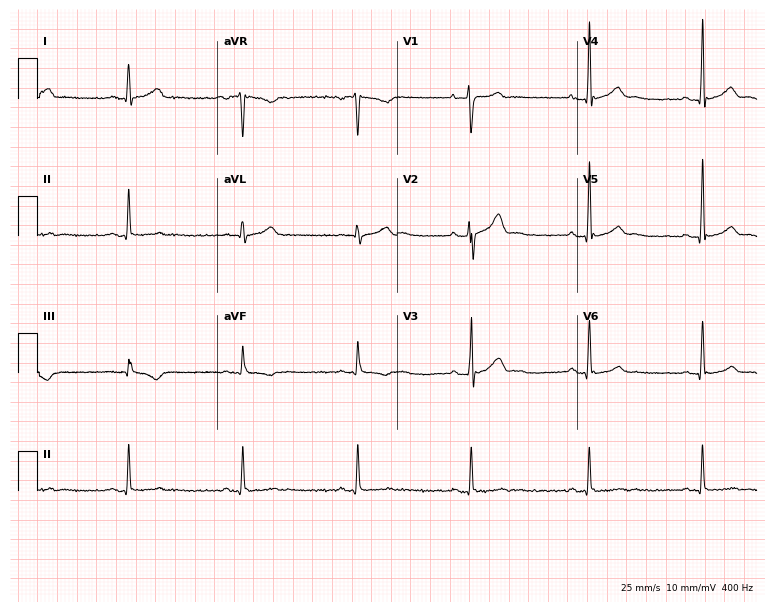
12-lead ECG (7.3-second recording at 400 Hz) from a male patient, 33 years old. Screened for six findings — first-degree AV block, right bundle branch block, left bundle branch block, sinus bradycardia, atrial fibrillation, sinus tachycardia — none is recorded.